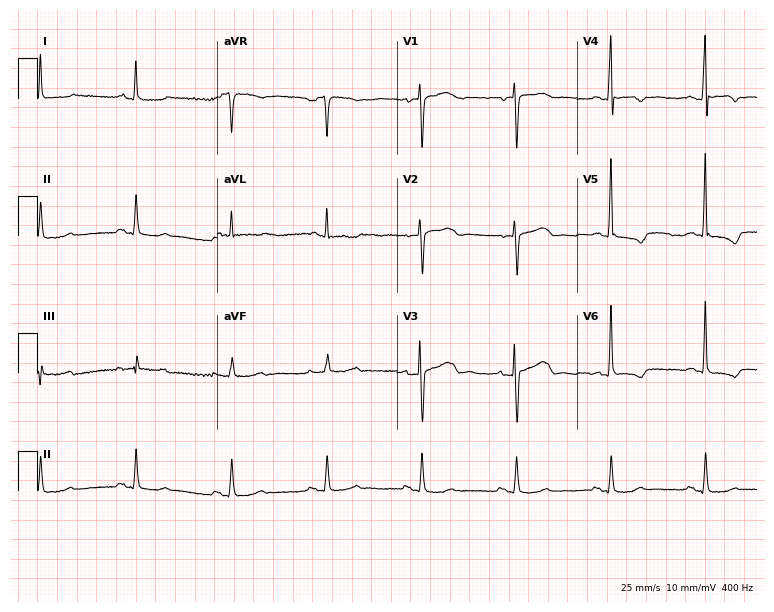
Electrocardiogram, a 78-year-old man. Of the six screened findings (first-degree AV block, right bundle branch block, left bundle branch block, sinus bradycardia, atrial fibrillation, sinus tachycardia), none is recorded.